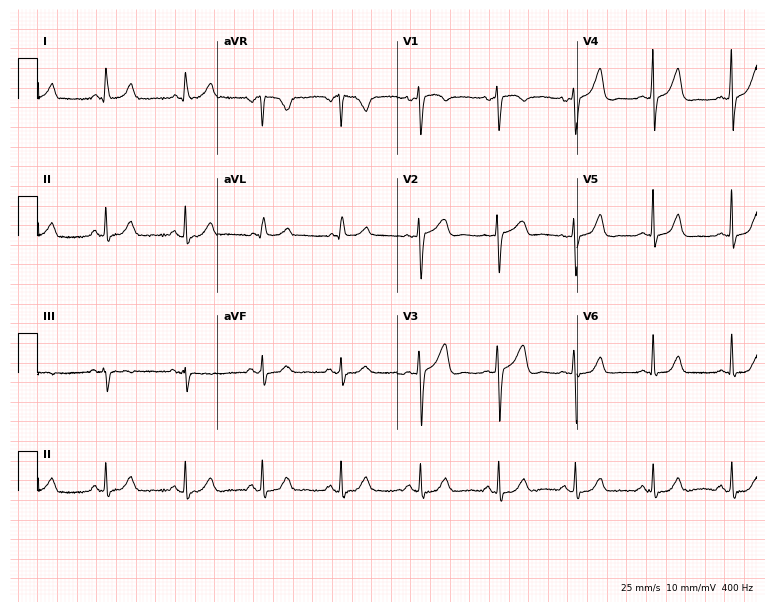
ECG — a 41-year-old female. Screened for six findings — first-degree AV block, right bundle branch block, left bundle branch block, sinus bradycardia, atrial fibrillation, sinus tachycardia — none is recorded.